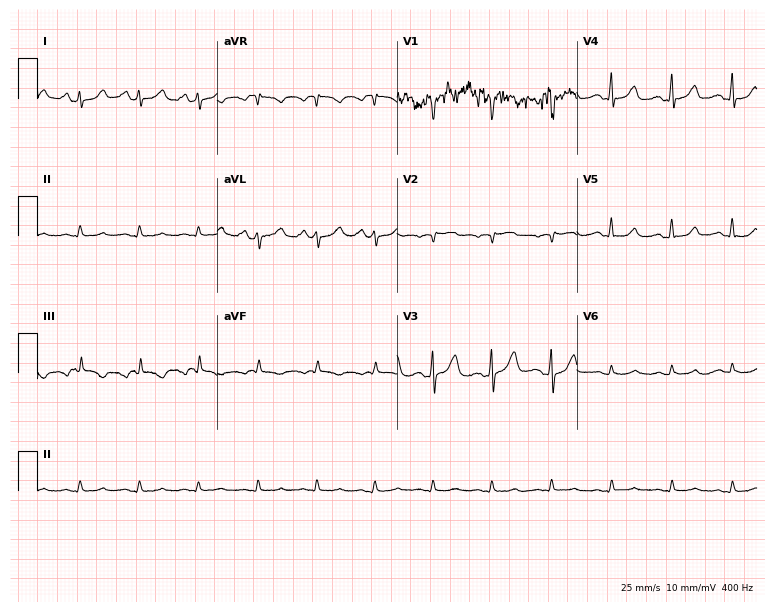
Standard 12-lead ECG recorded from a 52-year-old man. Read as a normal ECG.